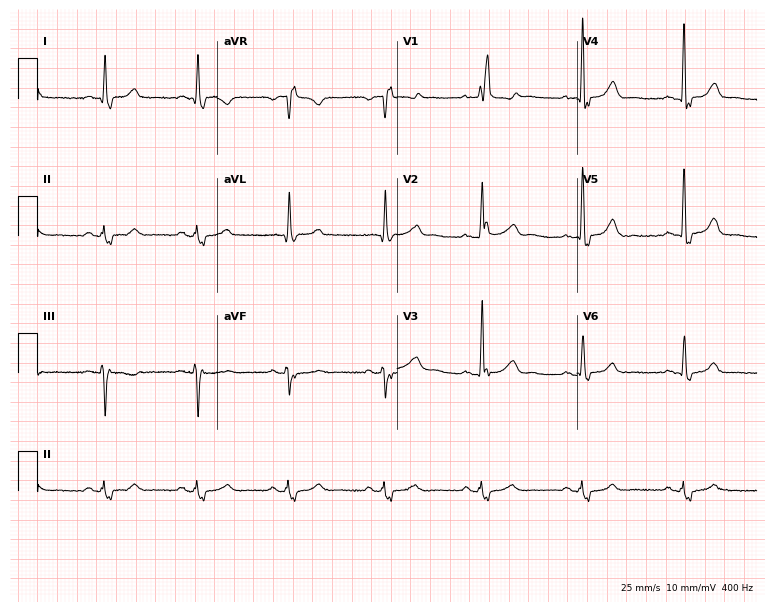
Standard 12-lead ECG recorded from a male patient, 75 years old. The tracing shows right bundle branch block (RBBB).